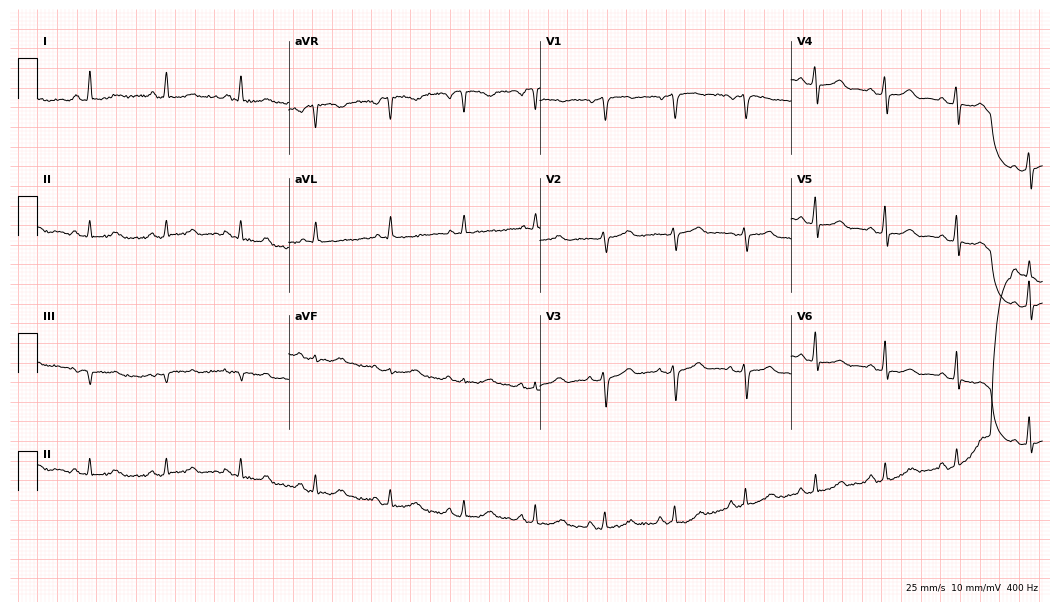
Standard 12-lead ECG recorded from a 51-year-old woman (10.2-second recording at 400 Hz). Read as a normal ECG.